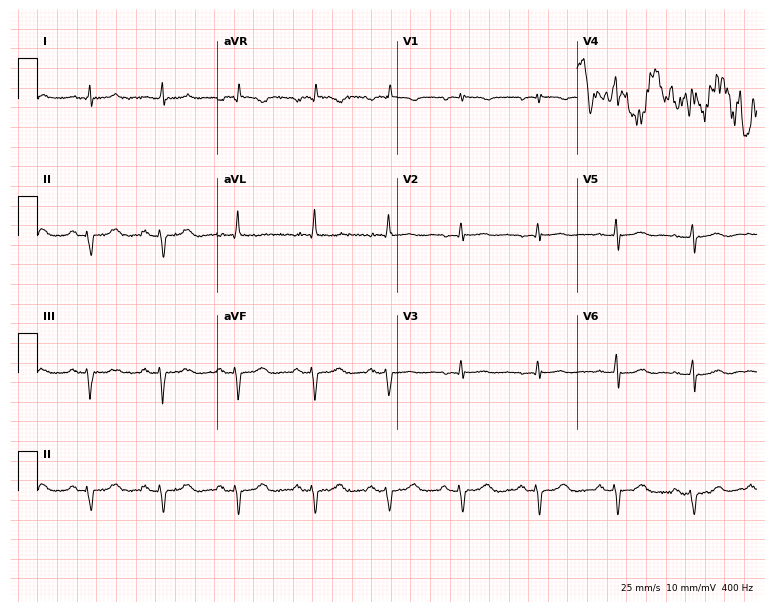
ECG (7.3-second recording at 400 Hz) — a 66-year-old female patient. Screened for six findings — first-degree AV block, right bundle branch block, left bundle branch block, sinus bradycardia, atrial fibrillation, sinus tachycardia — none is recorded. Only these six findings were labelled.